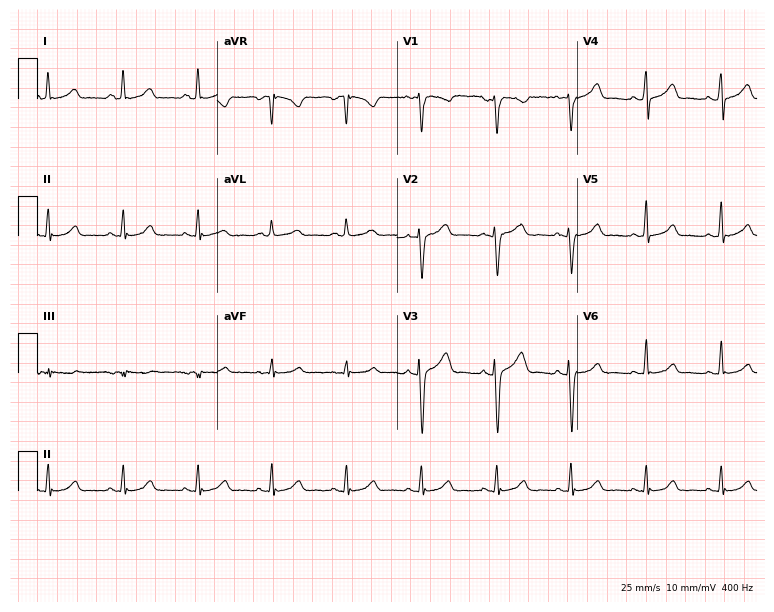
12-lead ECG from a 40-year-old female (7.3-second recording at 400 Hz). Recorded interpretation: within normal limits.